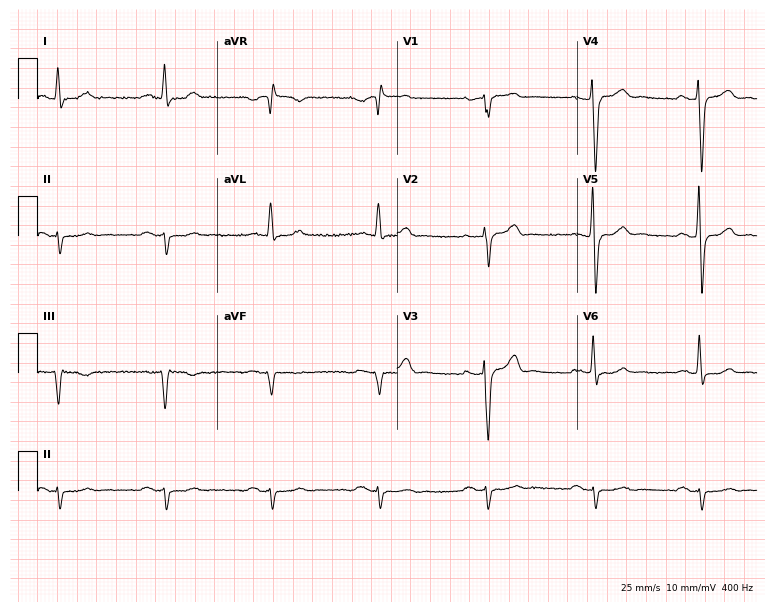
Electrocardiogram, a man, 65 years old. Of the six screened findings (first-degree AV block, right bundle branch block (RBBB), left bundle branch block (LBBB), sinus bradycardia, atrial fibrillation (AF), sinus tachycardia), none is recorded.